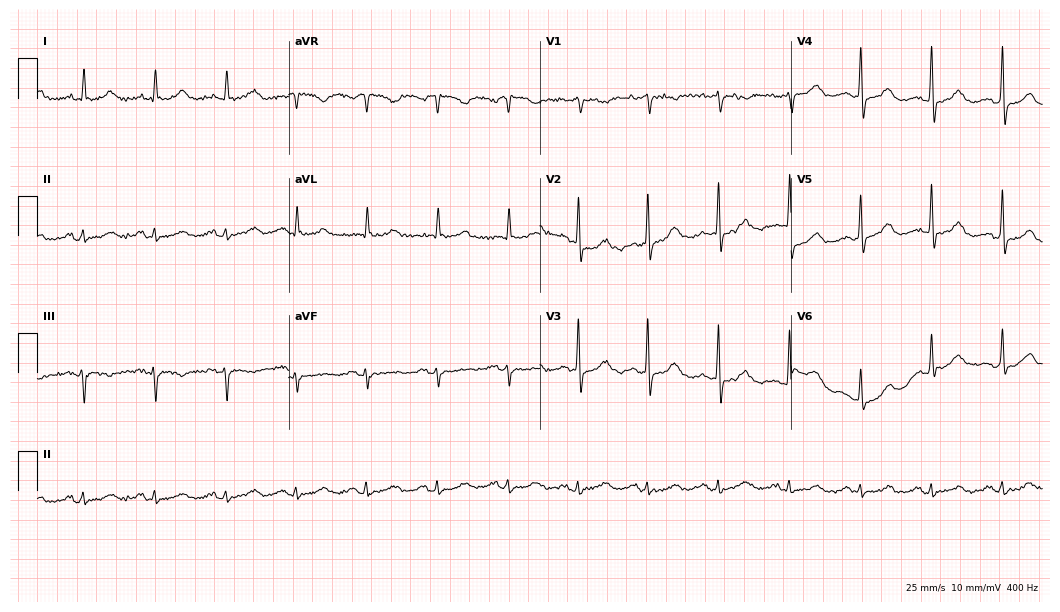
Resting 12-lead electrocardiogram. Patient: a woman, 79 years old. Read as a normal ECG.